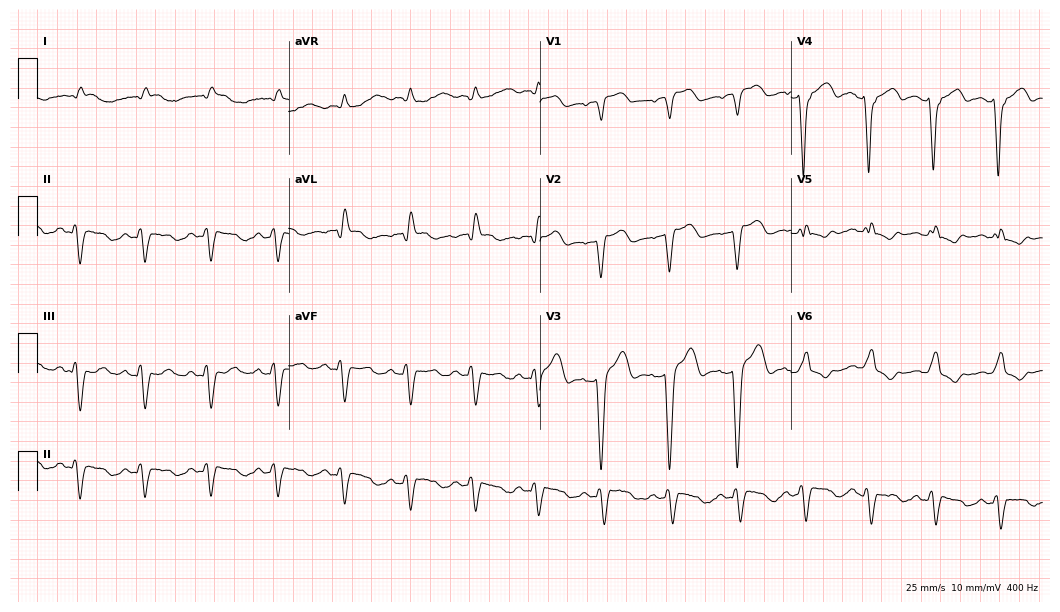
Resting 12-lead electrocardiogram (10.2-second recording at 400 Hz). Patient: a woman, 85 years old. None of these six findings is recorded: first-degree AV block, right bundle branch block (RBBB), left bundle branch block (LBBB), sinus bradycardia, atrial fibrillation (AF), sinus tachycardia.